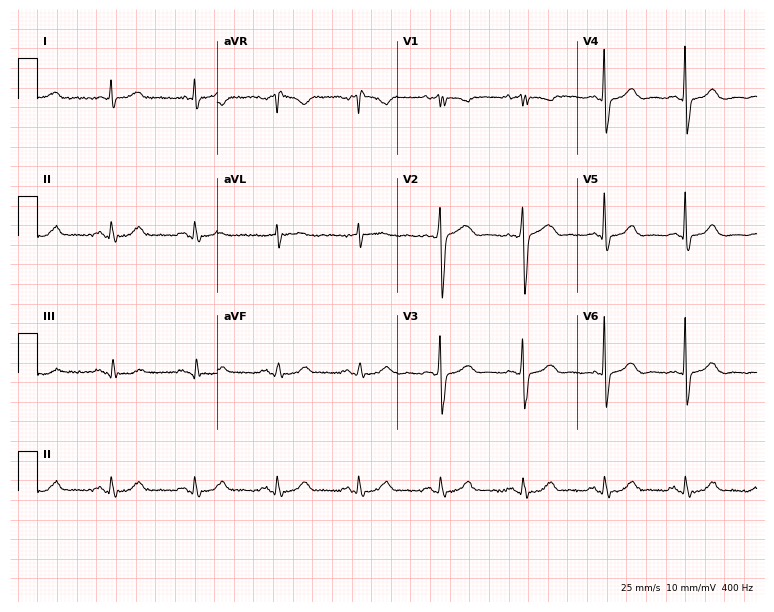
Electrocardiogram (7.3-second recording at 400 Hz), a male patient, 63 years old. Of the six screened findings (first-degree AV block, right bundle branch block, left bundle branch block, sinus bradycardia, atrial fibrillation, sinus tachycardia), none is recorded.